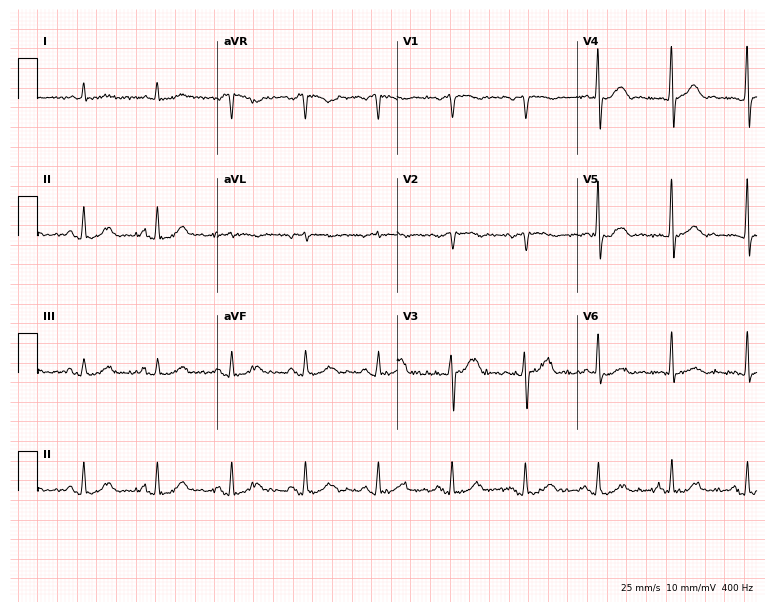
ECG (7.3-second recording at 400 Hz) — a 64-year-old male. Labelled as a normal ECG.